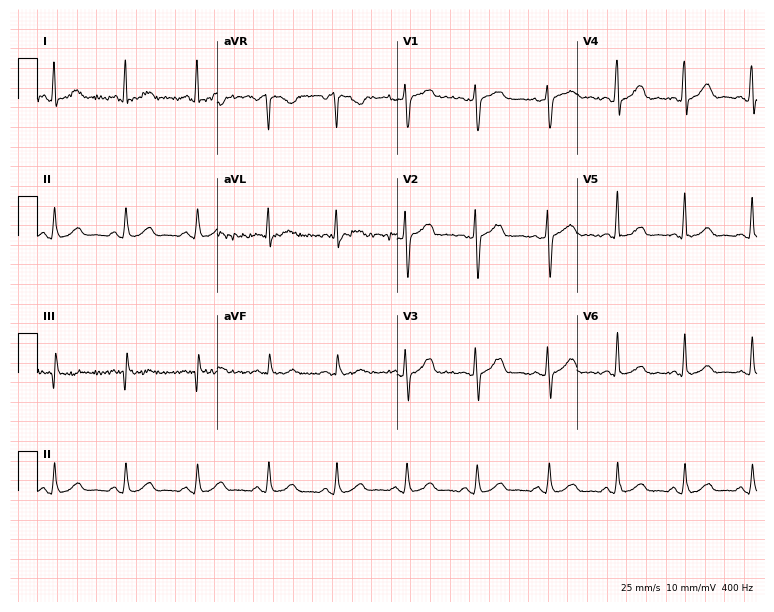
Standard 12-lead ECG recorded from a 63-year-old female patient (7.3-second recording at 400 Hz). Read as a normal ECG.